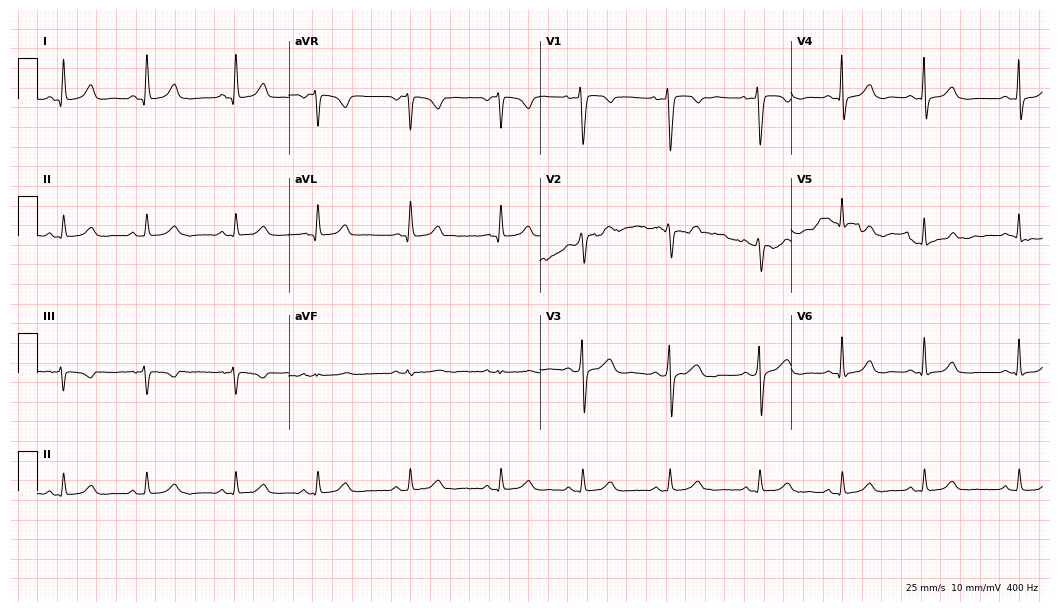
ECG (10.2-second recording at 400 Hz) — a woman, 53 years old. Labelled as a normal ECG.